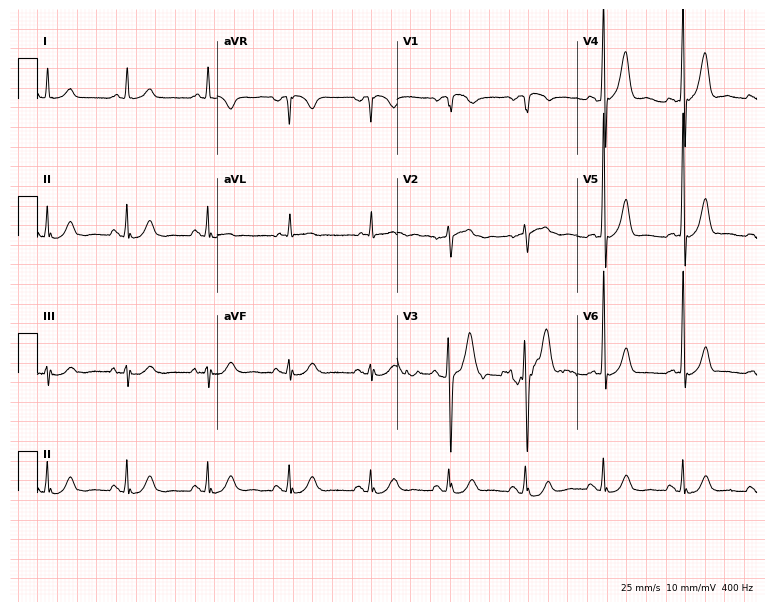
12-lead ECG from a 66-year-old man (7.3-second recording at 400 Hz). Recorded interpretation: within normal limits.